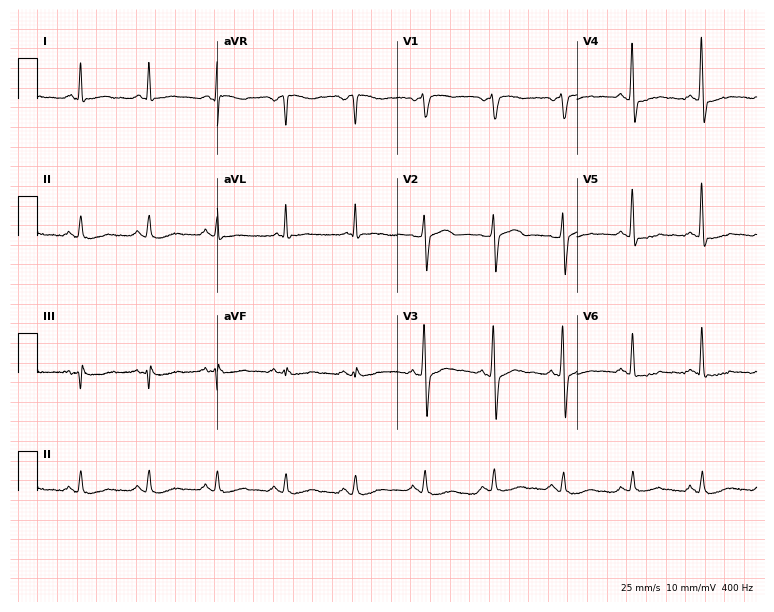
Electrocardiogram, a 64-year-old male patient. Of the six screened findings (first-degree AV block, right bundle branch block, left bundle branch block, sinus bradycardia, atrial fibrillation, sinus tachycardia), none is recorded.